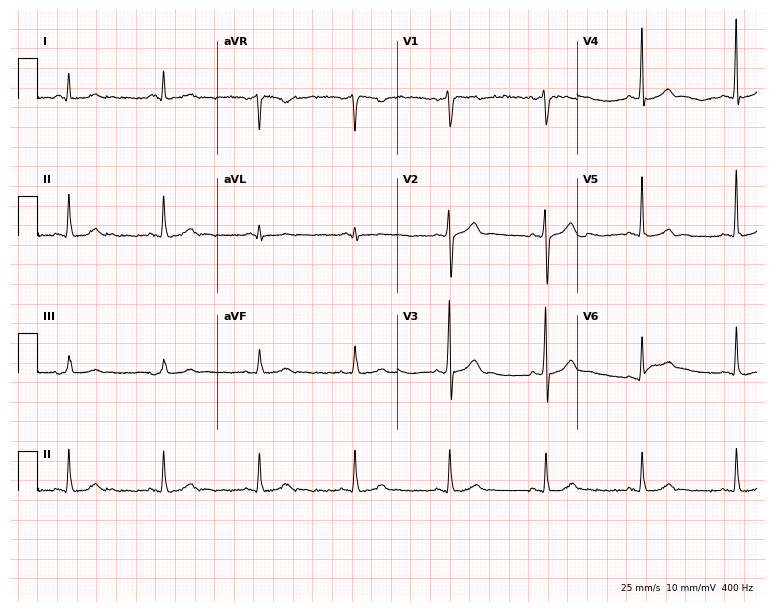
ECG — a 56-year-old man. Labelled as a normal ECG.